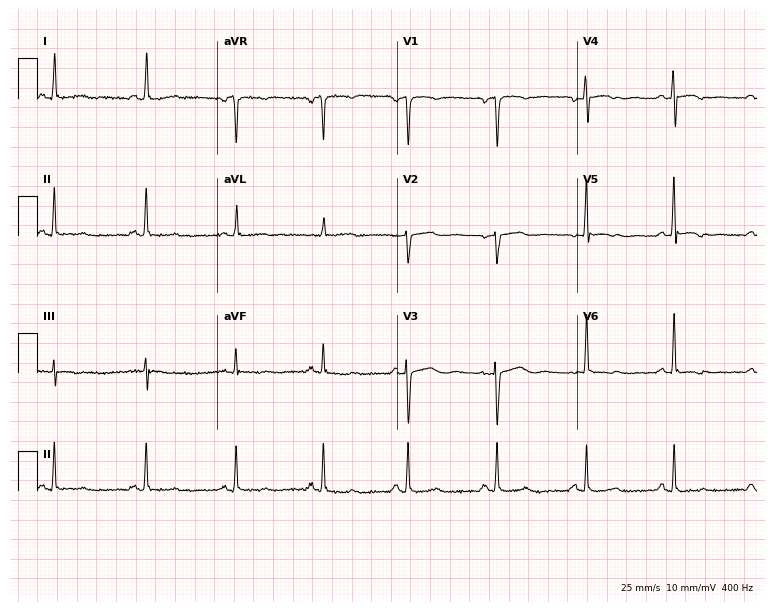
ECG (7.3-second recording at 400 Hz) — a 54-year-old woman. Screened for six findings — first-degree AV block, right bundle branch block (RBBB), left bundle branch block (LBBB), sinus bradycardia, atrial fibrillation (AF), sinus tachycardia — none is recorded.